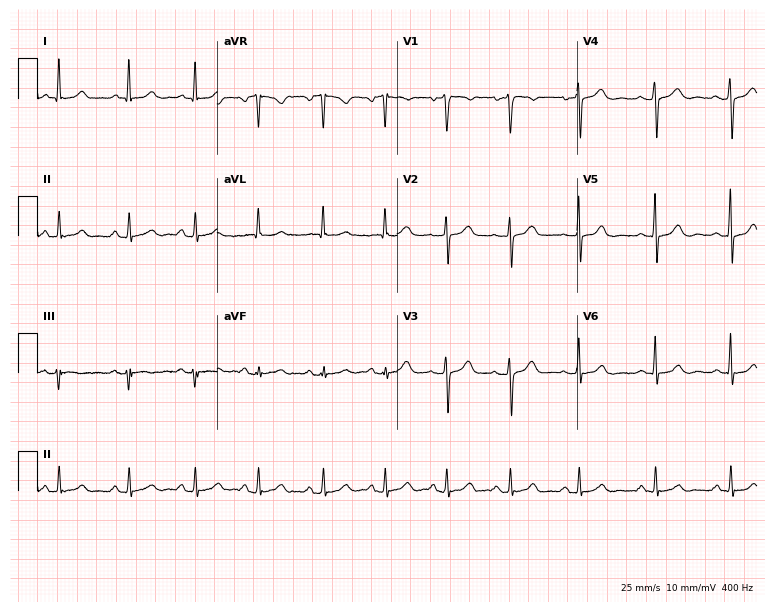
Standard 12-lead ECG recorded from a 43-year-old woman (7.3-second recording at 400 Hz). Read as a normal ECG.